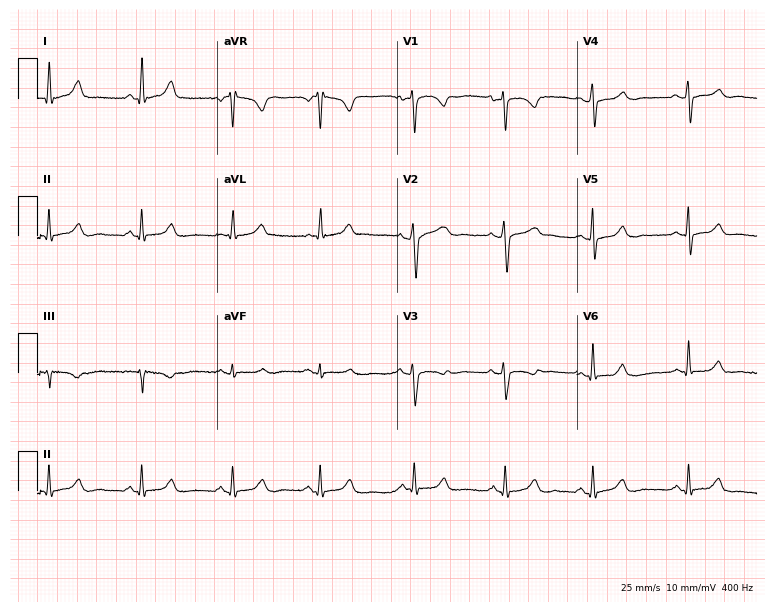
Standard 12-lead ECG recorded from a female patient, 40 years old. Read as a normal ECG.